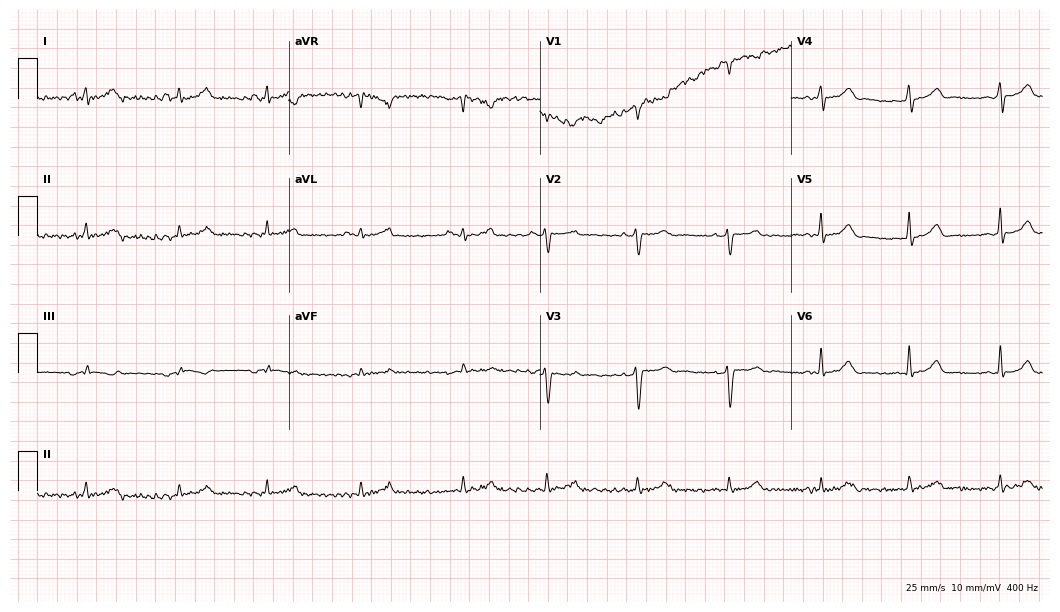
Electrocardiogram (10.2-second recording at 400 Hz), a female patient, 34 years old. Overall reading on record: normal ECG.